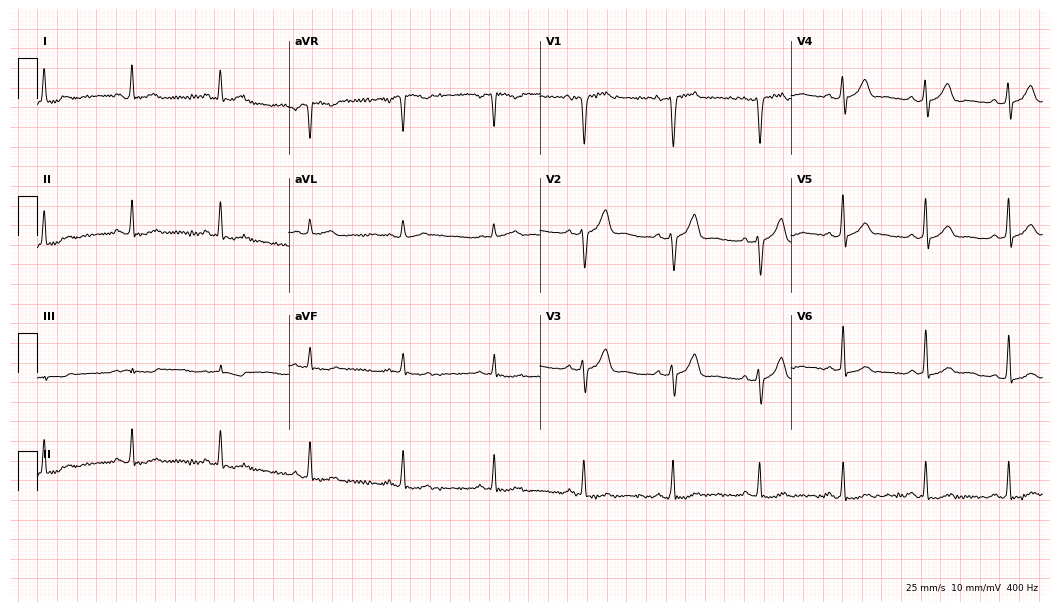
12-lead ECG from a 54-year-old male patient. Screened for six findings — first-degree AV block, right bundle branch block, left bundle branch block, sinus bradycardia, atrial fibrillation, sinus tachycardia — none is recorded.